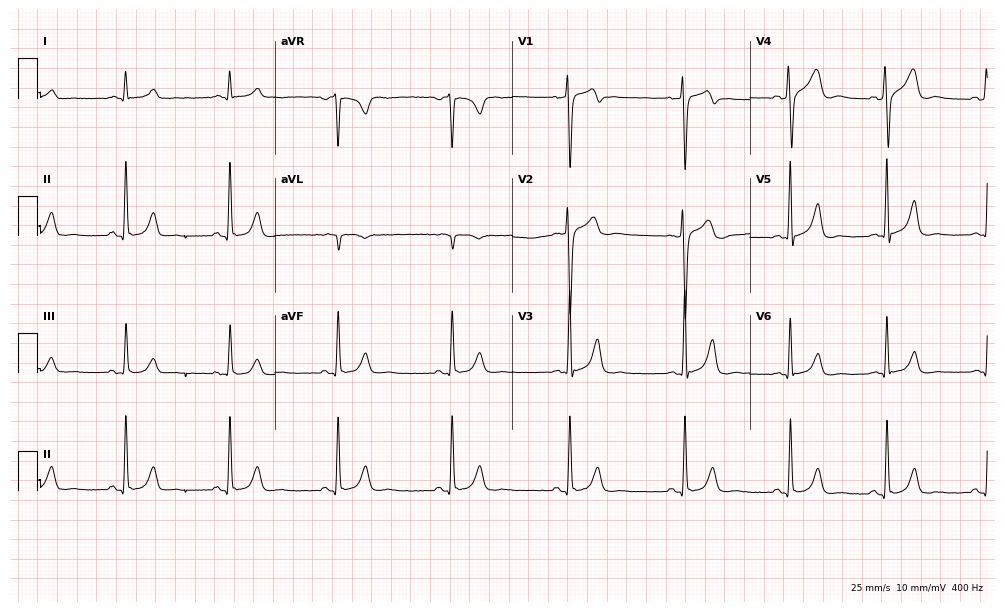
12-lead ECG from a 36-year-old male patient. Screened for six findings — first-degree AV block, right bundle branch block, left bundle branch block, sinus bradycardia, atrial fibrillation, sinus tachycardia — none is recorded.